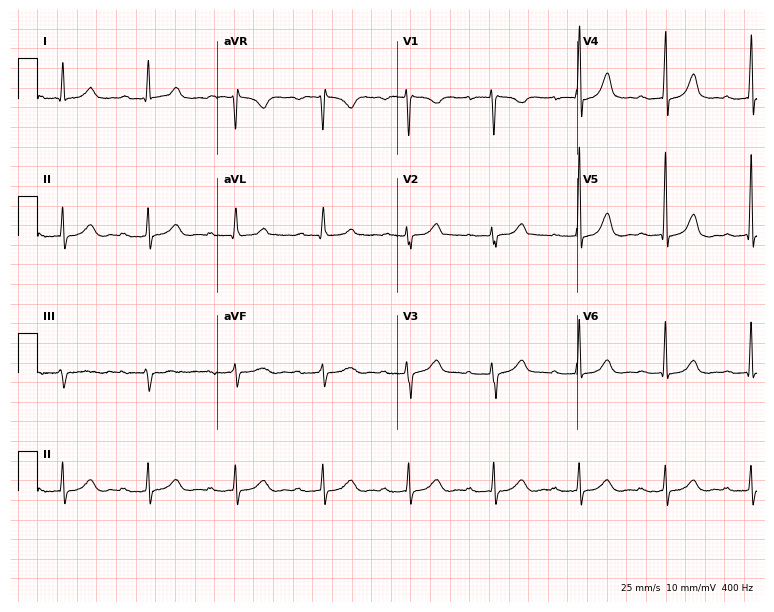
ECG (7.3-second recording at 400 Hz) — a female patient, 72 years old. Screened for six findings — first-degree AV block, right bundle branch block (RBBB), left bundle branch block (LBBB), sinus bradycardia, atrial fibrillation (AF), sinus tachycardia — none is recorded.